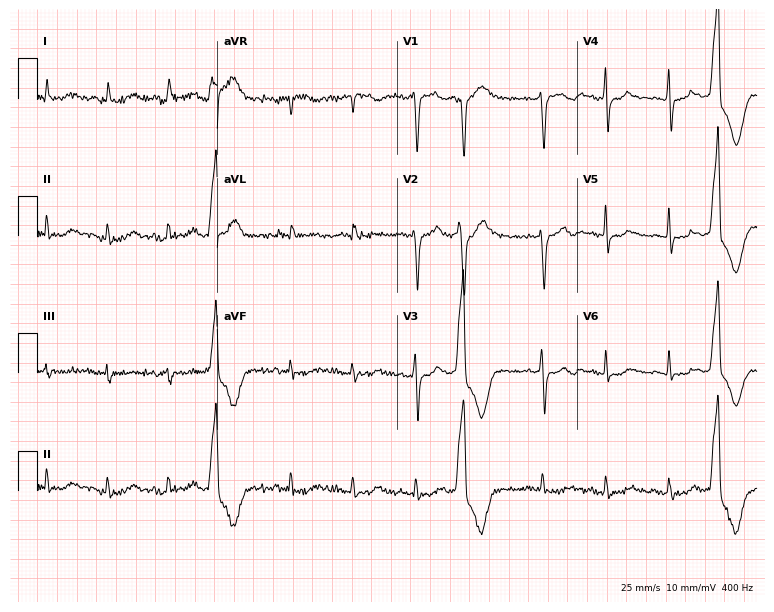
Electrocardiogram, a woman, 62 years old. Of the six screened findings (first-degree AV block, right bundle branch block (RBBB), left bundle branch block (LBBB), sinus bradycardia, atrial fibrillation (AF), sinus tachycardia), none is recorded.